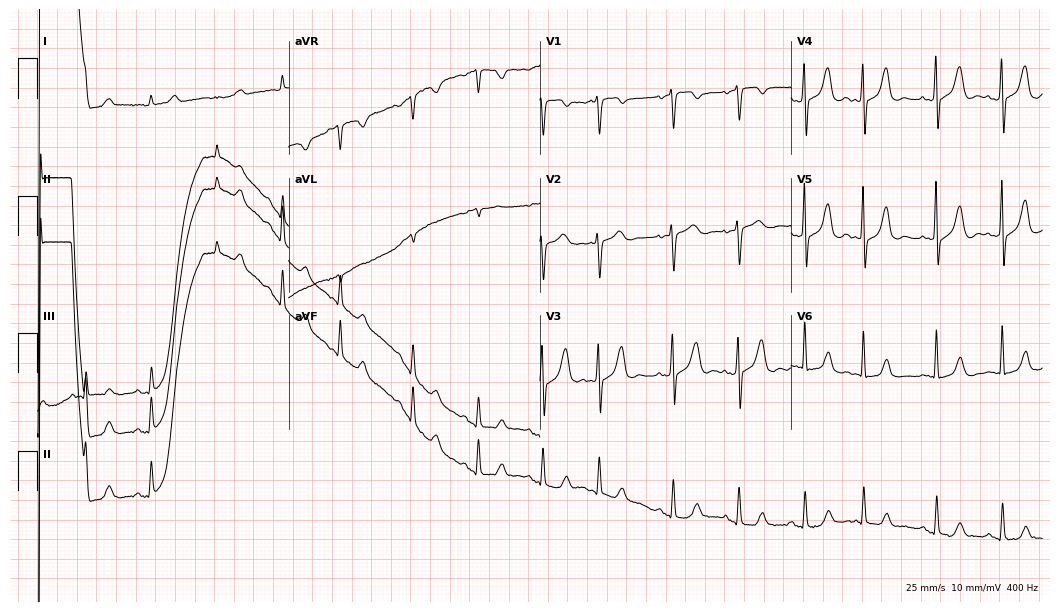
Electrocardiogram, a 79-year-old female patient. Of the six screened findings (first-degree AV block, right bundle branch block, left bundle branch block, sinus bradycardia, atrial fibrillation, sinus tachycardia), none is recorded.